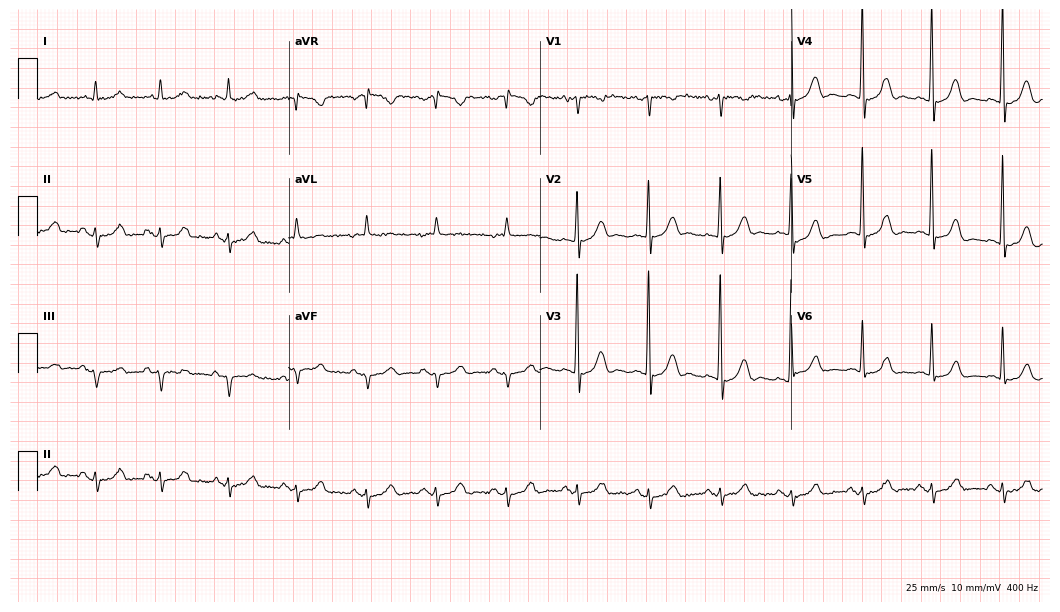
Electrocardiogram, an 81-year-old woman. Of the six screened findings (first-degree AV block, right bundle branch block (RBBB), left bundle branch block (LBBB), sinus bradycardia, atrial fibrillation (AF), sinus tachycardia), none is recorded.